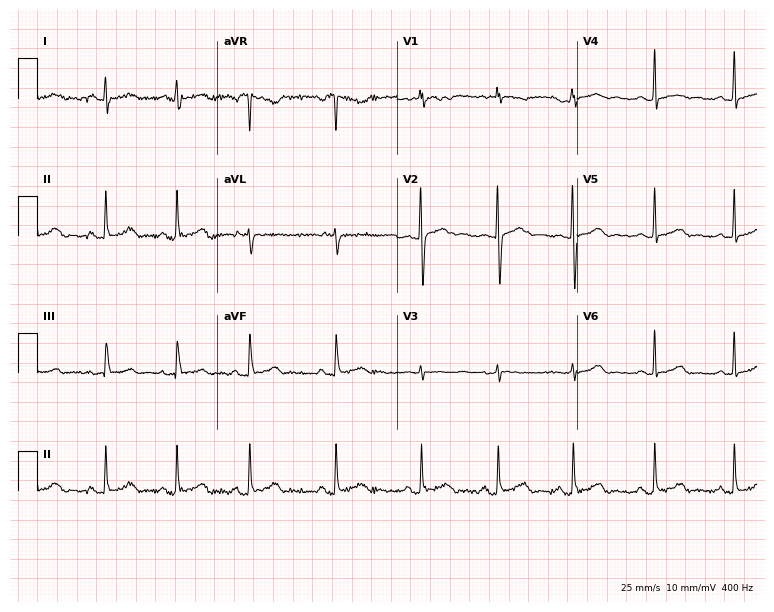
Resting 12-lead electrocardiogram (7.3-second recording at 400 Hz). Patient: a 19-year-old woman. Read as a normal ECG.